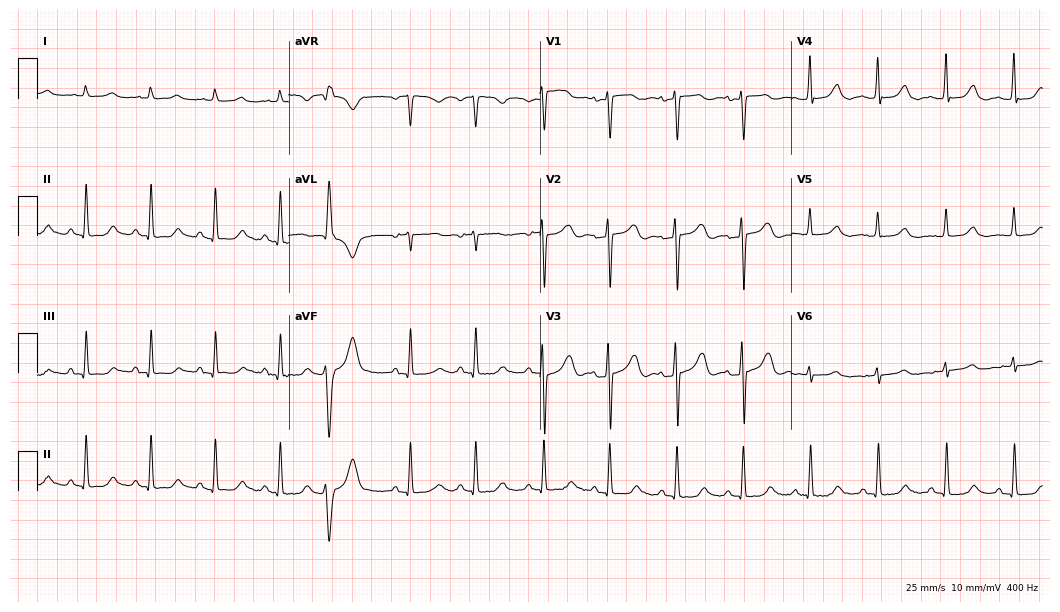
Electrocardiogram, a woman, 68 years old. Of the six screened findings (first-degree AV block, right bundle branch block (RBBB), left bundle branch block (LBBB), sinus bradycardia, atrial fibrillation (AF), sinus tachycardia), none is recorded. Only these six findings were labelled.